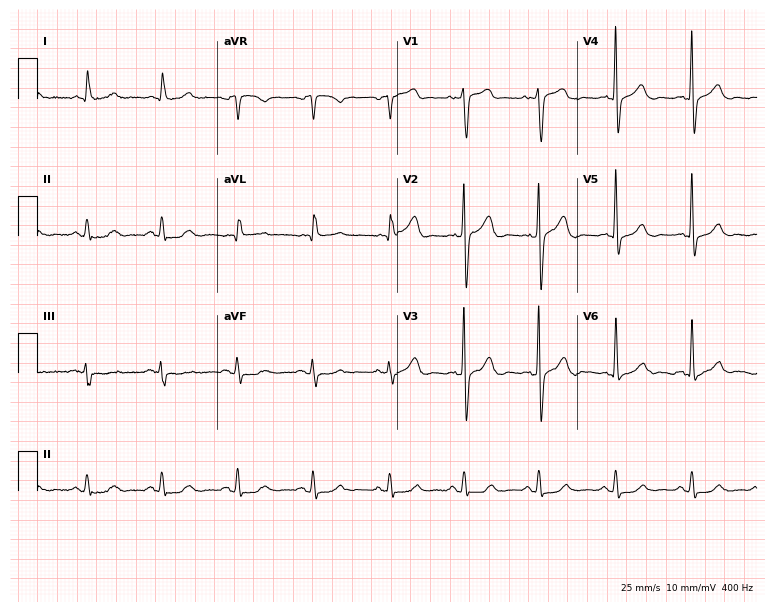
12-lead ECG from a female, 76 years old. Recorded interpretation: within normal limits.